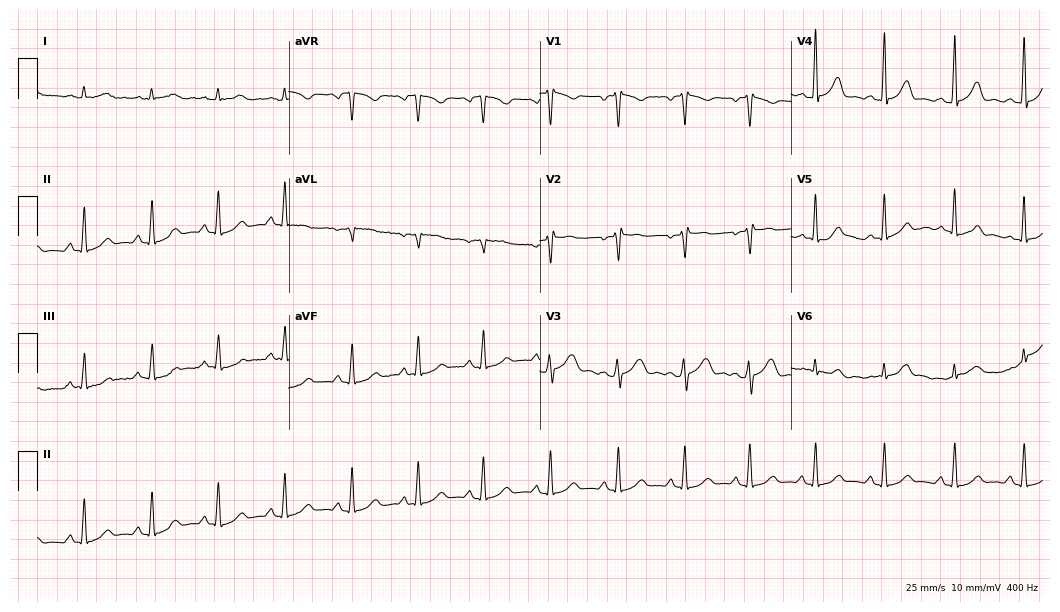
ECG (10.2-second recording at 400 Hz) — a 33-year-old woman. Screened for six findings — first-degree AV block, right bundle branch block (RBBB), left bundle branch block (LBBB), sinus bradycardia, atrial fibrillation (AF), sinus tachycardia — none is recorded. Other findings, if any, are not listed.